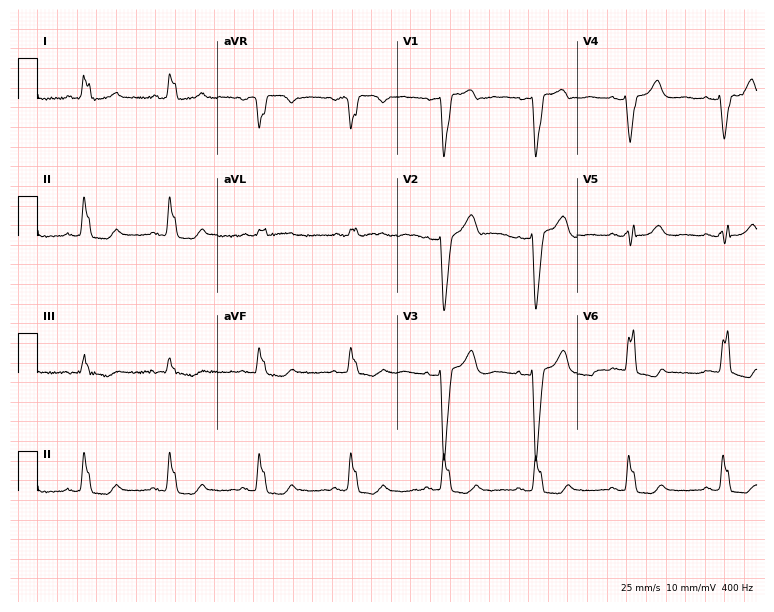
12-lead ECG (7.3-second recording at 400 Hz) from a 50-year-old female. Findings include left bundle branch block (LBBB).